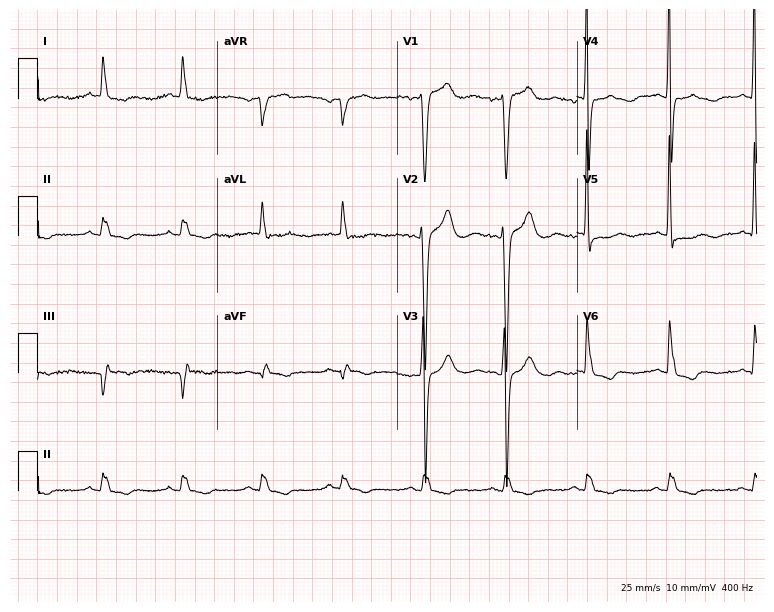
12-lead ECG from a male, 84 years old (7.3-second recording at 400 Hz). No first-degree AV block, right bundle branch block, left bundle branch block, sinus bradycardia, atrial fibrillation or sinus tachycardia recorded for this tracing. Findings outside these six are not listed.